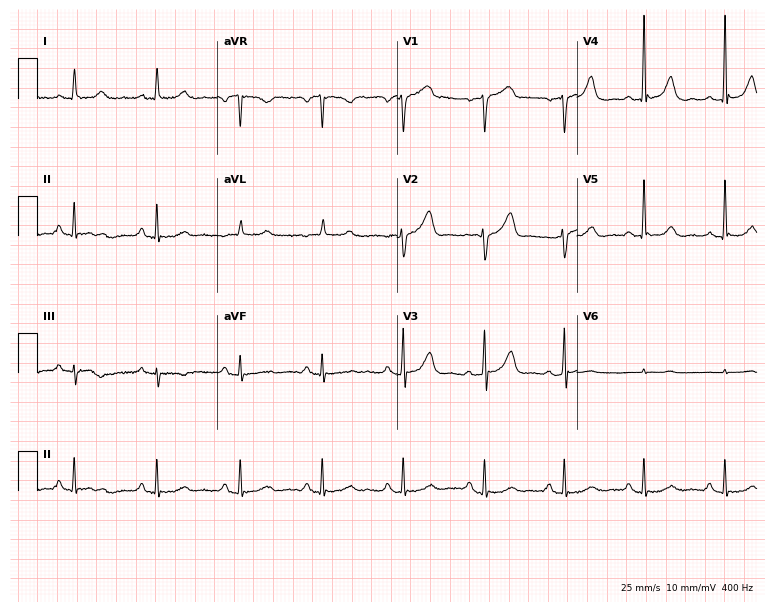
Standard 12-lead ECG recorded from a man, 61 years old. Read as a normal ECG.